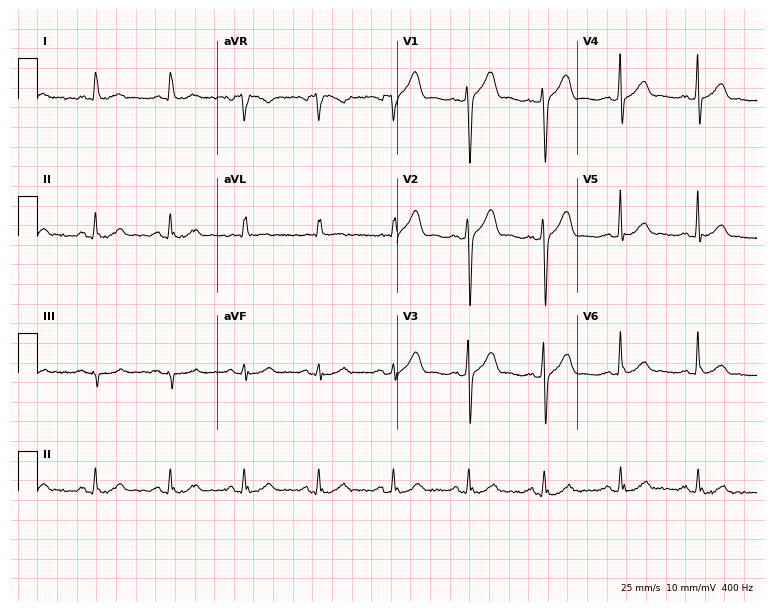
ECG (7.3-second recording at 400 Hz) — a 59-year-old man. Labelled as a normal ECG.